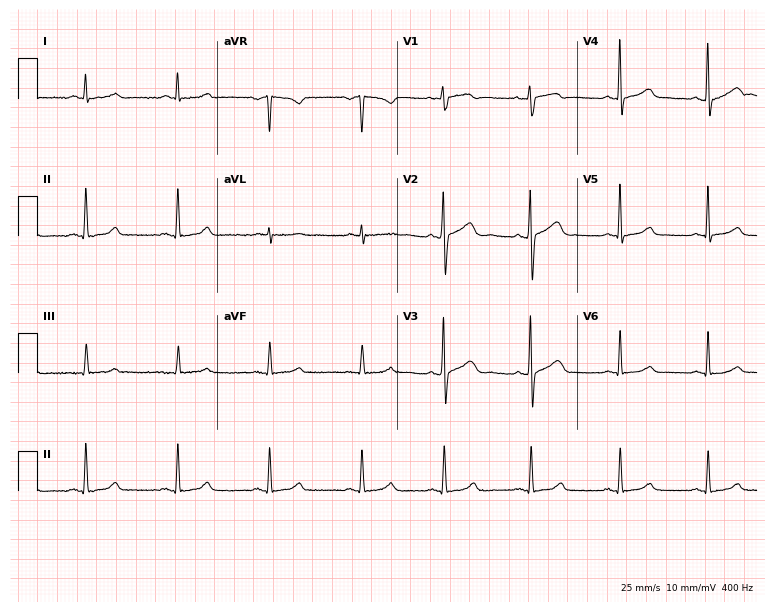
12-lead ECG (7.3-second recording at 400 Hz) from a female patient, 34 years old. Labelled as a normal ECG.